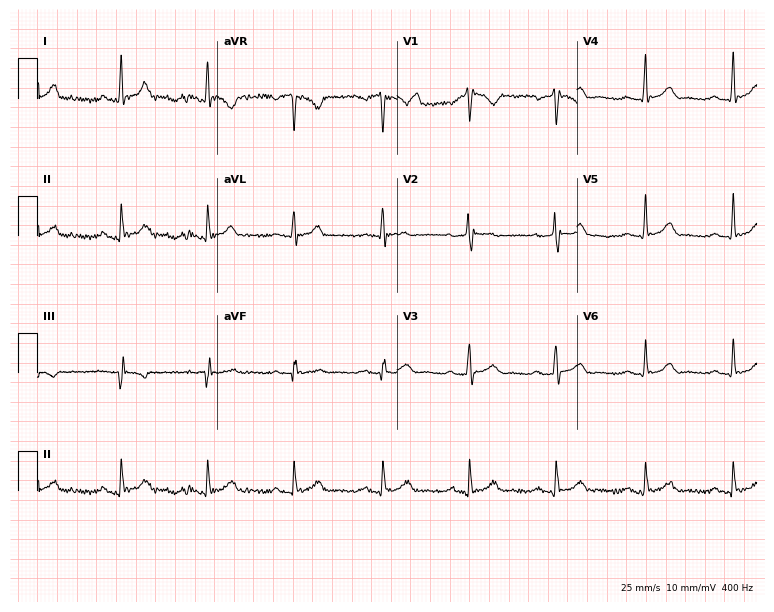
12-lead ECG (7.3-second recording at 400 Hz) from a man, 43 years old. Screened for six findings — first-degree AV block, right bundle branch block, left bundle branch block, sinus bradycardia, atrial fibrillation, sinus tachycardia — none is recorded.